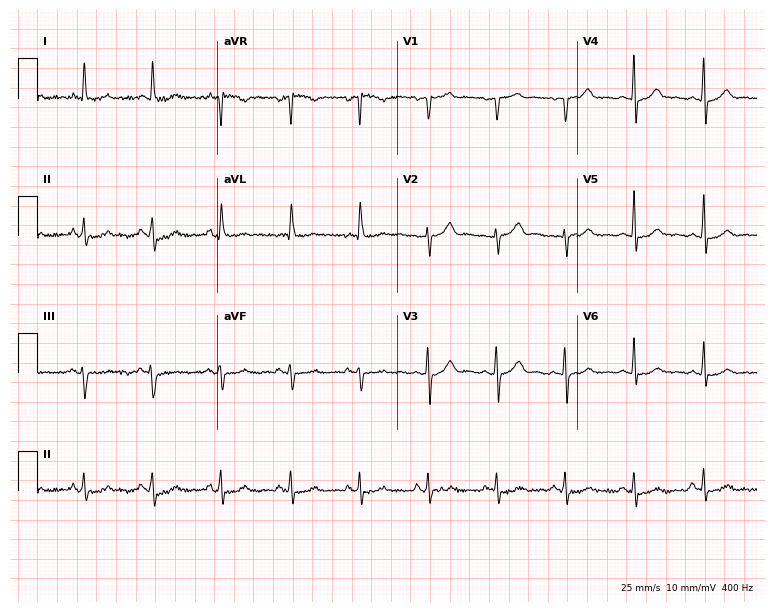
Electrocardiogram, a 77-year-old female. Of the six screened findings (first-degree AV block, right bundle branch block, left bundle branch block, sinus bradycardia, atrial fibrillation, sinus tachycardia), none is recorded.